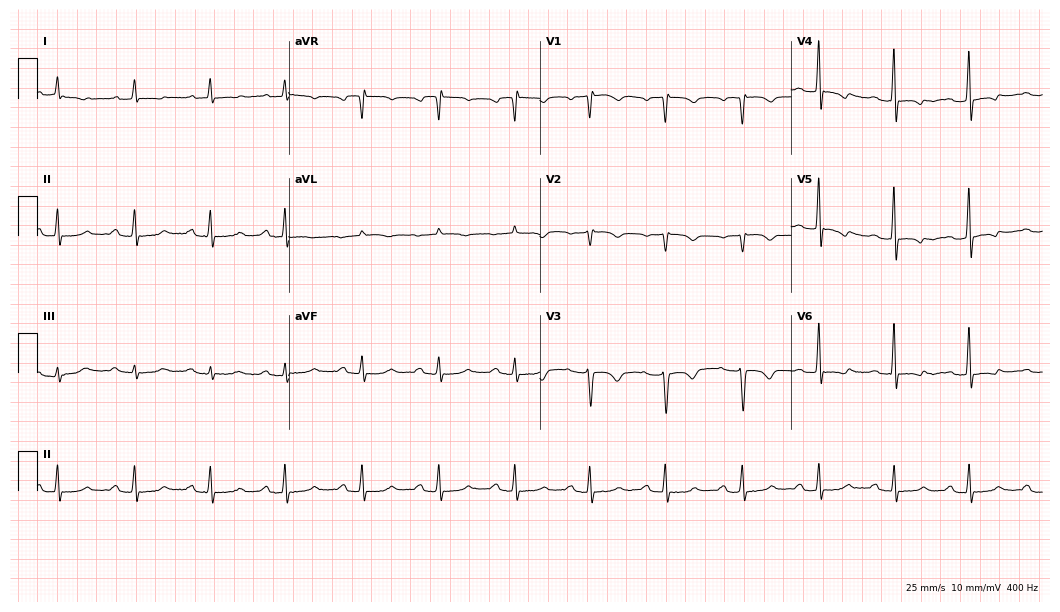
12-lead ECG (10.2-second recording at 400 Hz) from a 62-year-old woman. Screened for six findings — first-degree AV block, right bundle branch block, left bundle branch block, sinus bradycardia, atrial fibrillation, sinus tachycardia — none is recorded. Only these six findings were labelled.